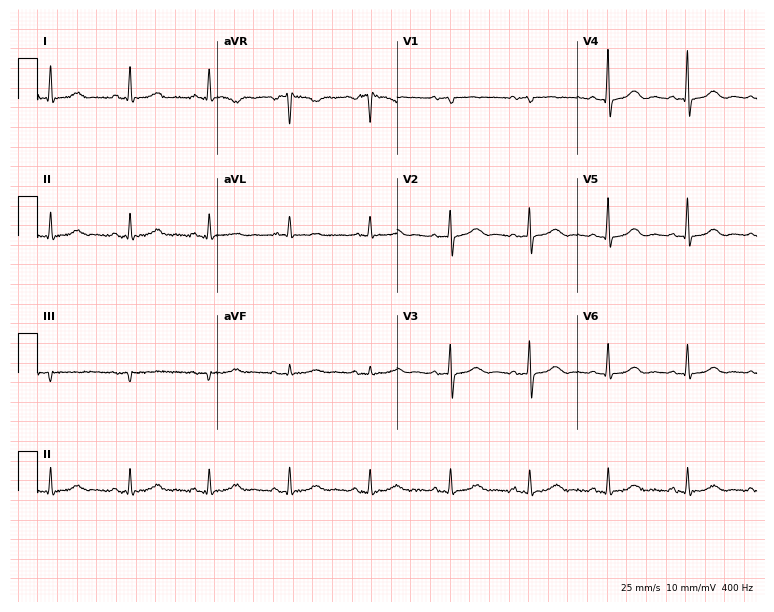
12-lead ECG (7.3-second recording at 400 Hz) from a 79-year-old female patient. Labelled as a normal ECG.